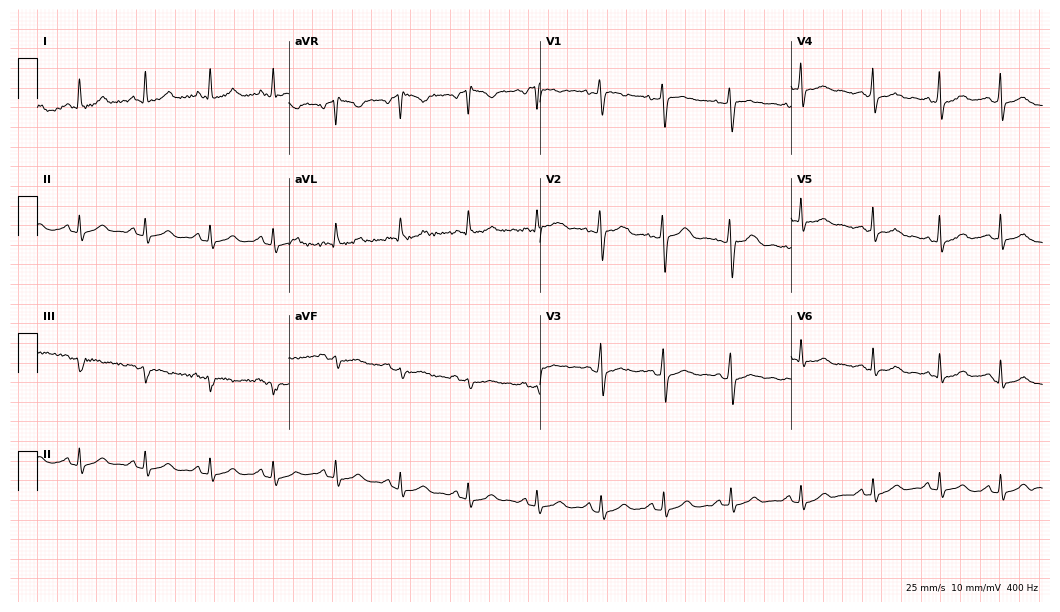
Resting 12-lead electrocardiogram (10.2-second recording at 400 Hz). Patient: a female, 22 years old. None of these six findings is recorded: first-degree AV block, right bundle branch block, left bundle branch block, sinus bradycardia, atrial fibrillation, sinus tachycardia.